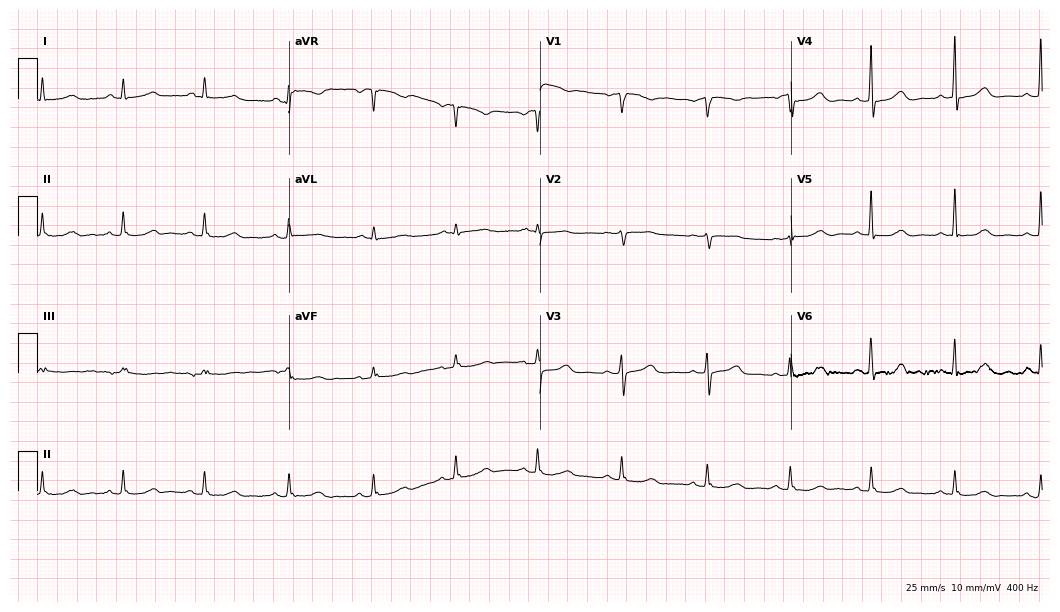
12-lead ECG from a female patient, 72 years old (10.2-second recording at 400 Hz). Recorded interpretation: within normal limits.